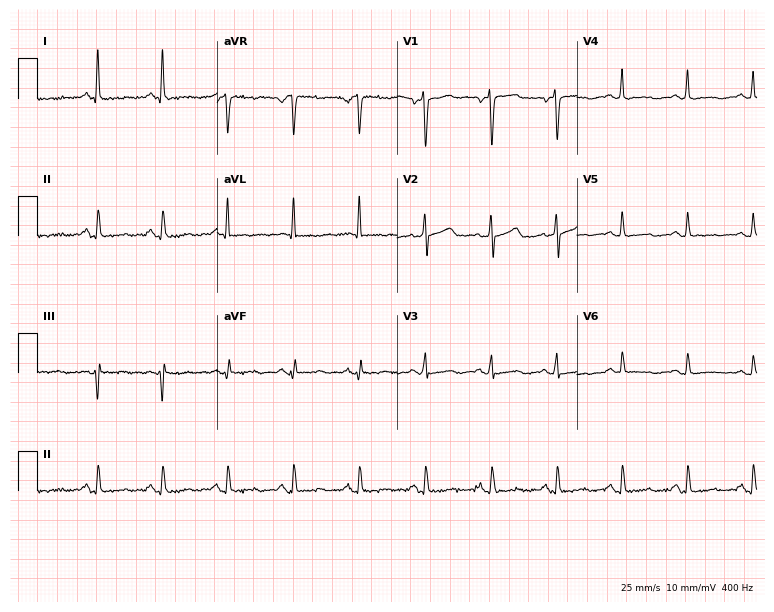
12-lead ECG from a woman, 49 years old. Screened for six findings — first-degree AV block, right bundle branch block, left bundle branch block, sinus bradycardia, atrial fibrillation, sinus tachycardia — none is recorded.